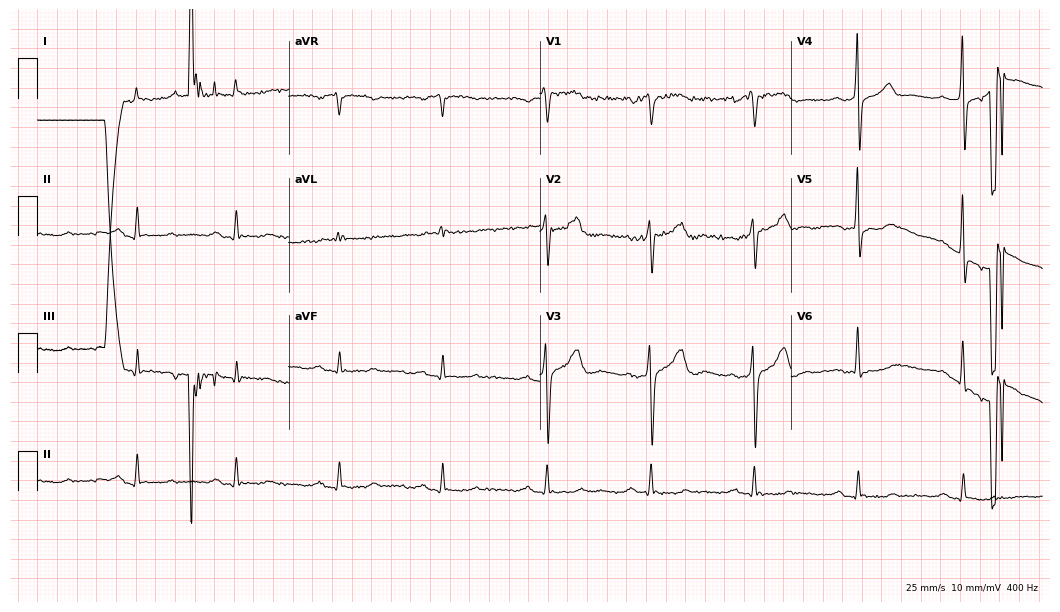
Standard 12-lead ECG recorded from a 75-year-old male patient (10.2-second recording at 400 Hz). The tracing shows first-degree AV block, atrial fibrillation.